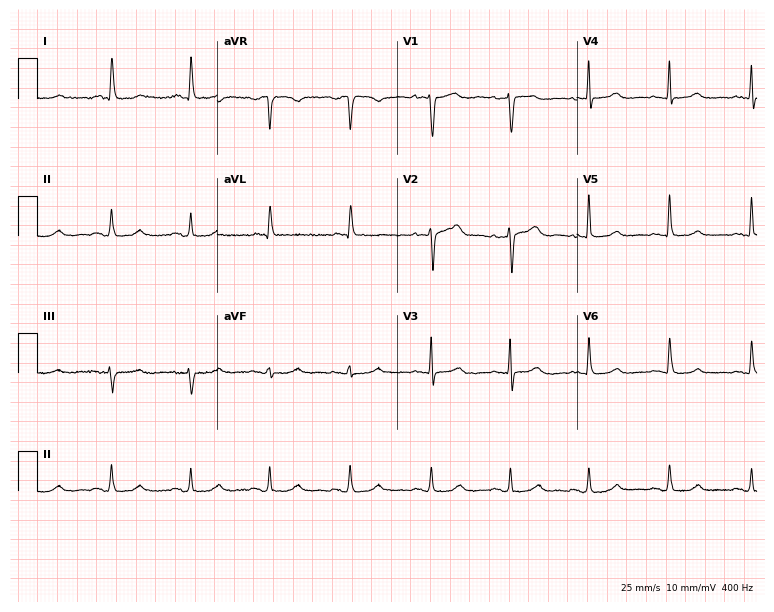
ECG (7.3-second recording at 400 Hz) — a 72-year-old woman. Labelled as a normal ECG.